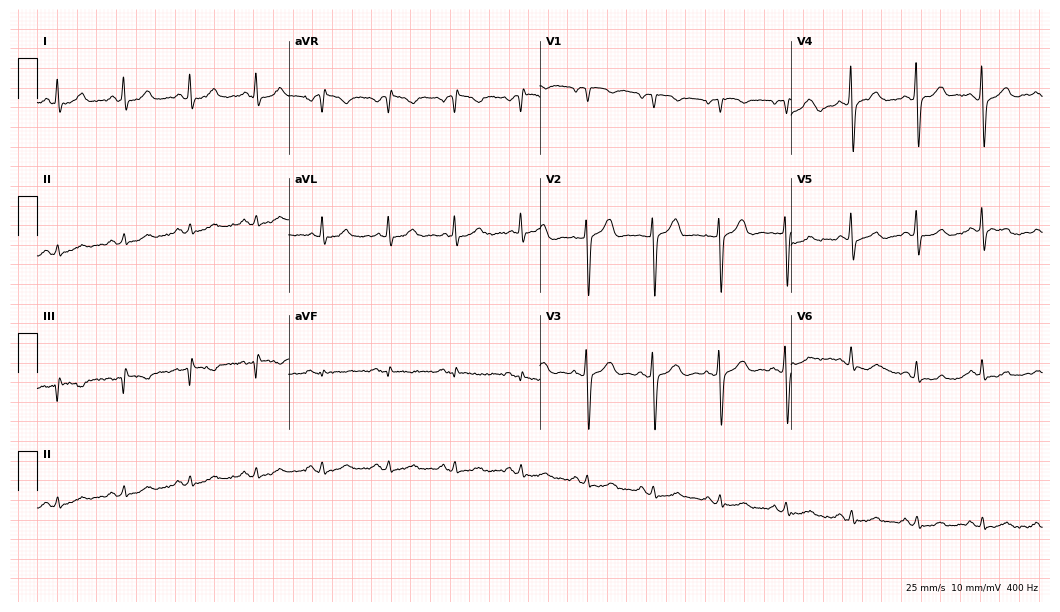
12-lead ECG from a 75-year-old man. No first-degree AV block, right bundle branch block, left bundle branch block, sinus bradycardia, atrial fibrillation or sinus tachycardia recorded for this tracing.